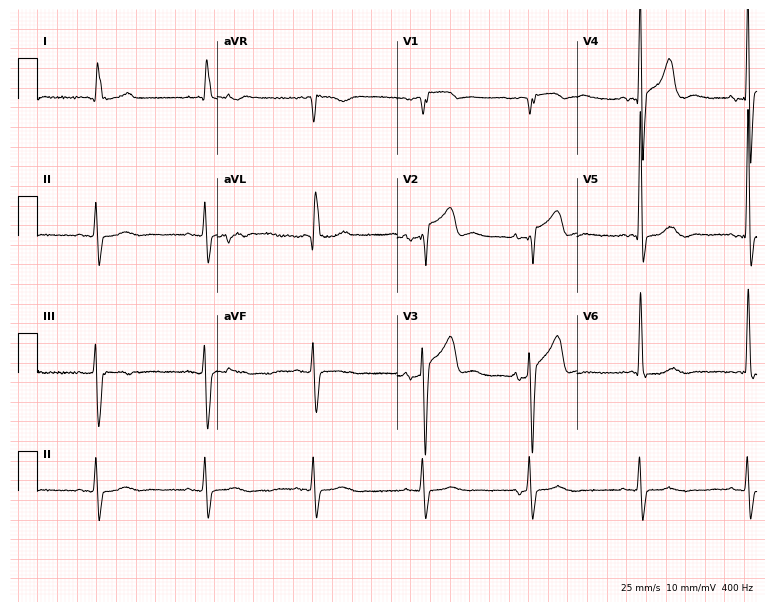
12-lead ECG from an 84-year-old male. Screened for six findings — first-degree AV block, right bundle branch block, left bundle branch block, sinus bradycardia, atrial fibrillation, sinus tachycardia — none is recorded.